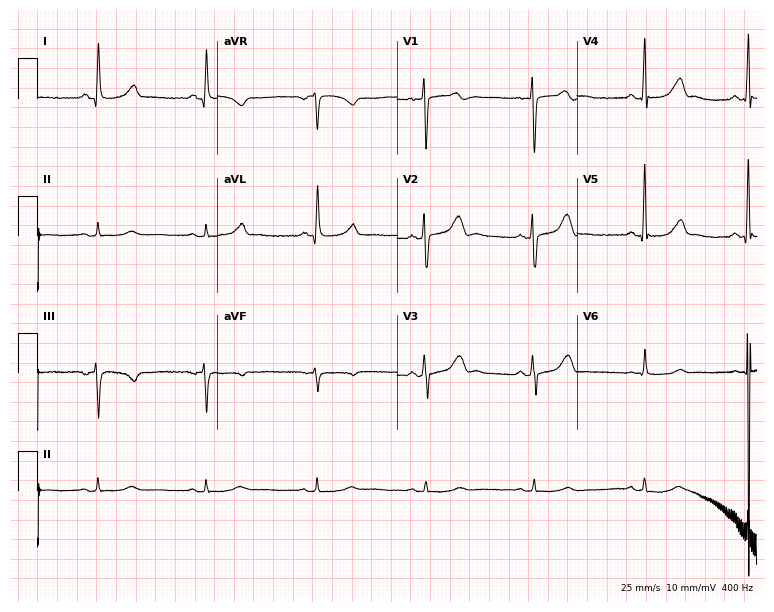
Electrocardiogram (7.3-second recording at 400 Hz), a female, 55 years old. Of the six screened findings (first-degree AV block, right bundle branch block, left bundle branch block, sinus bradycardia, atrial fibrillation, sinus tachycardia), none is recorded. Other findings, if any, are not listed.